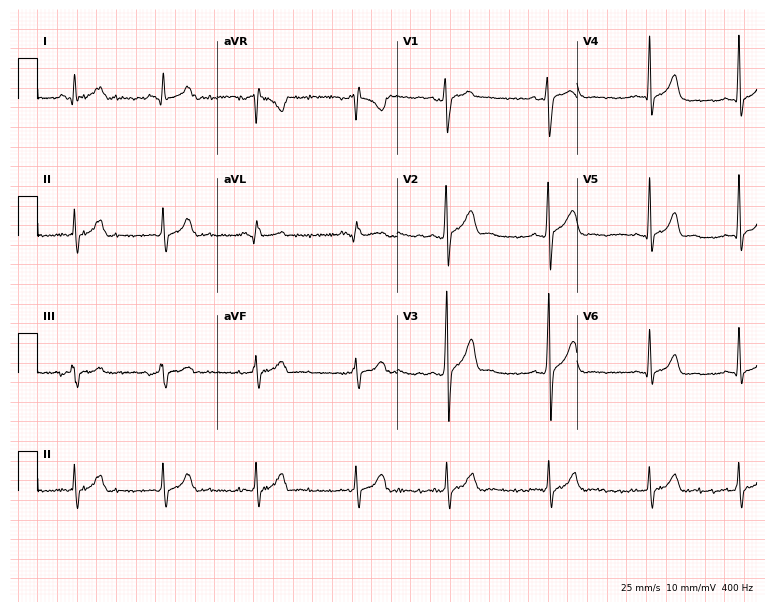
ECG — a man, 23 years old. Labelled as a normal ECG.